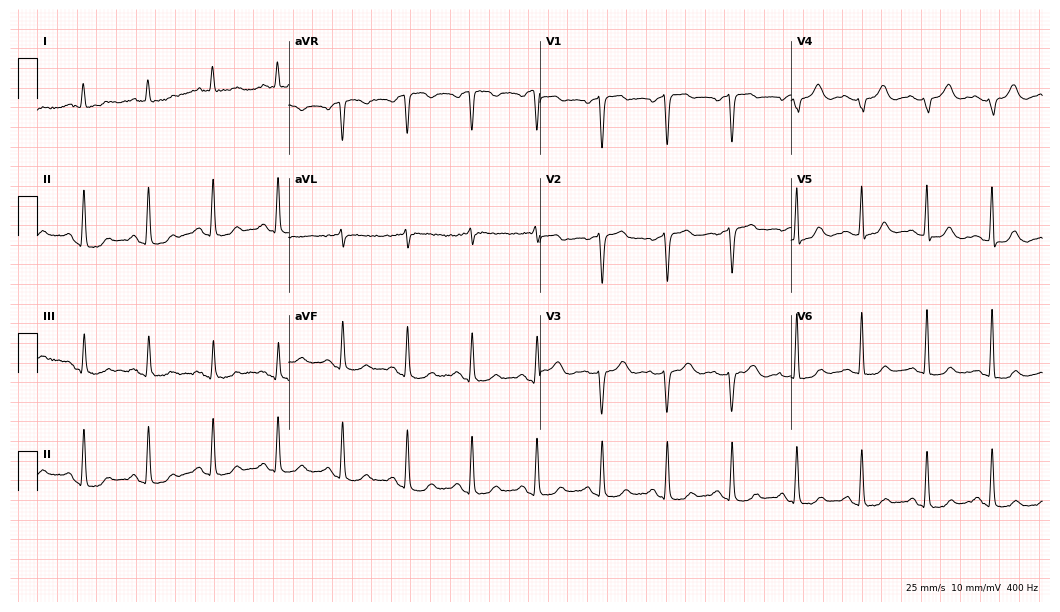
Standard 12-lead ECG recorded from a 64-year-old female. None of these six findings is recorded: first-degree AV block, right bundle branch block, left bundle branch block, sinus bradycardia, atrial fibrillation, sinus tachycardia. Findings outside these six are not listed.